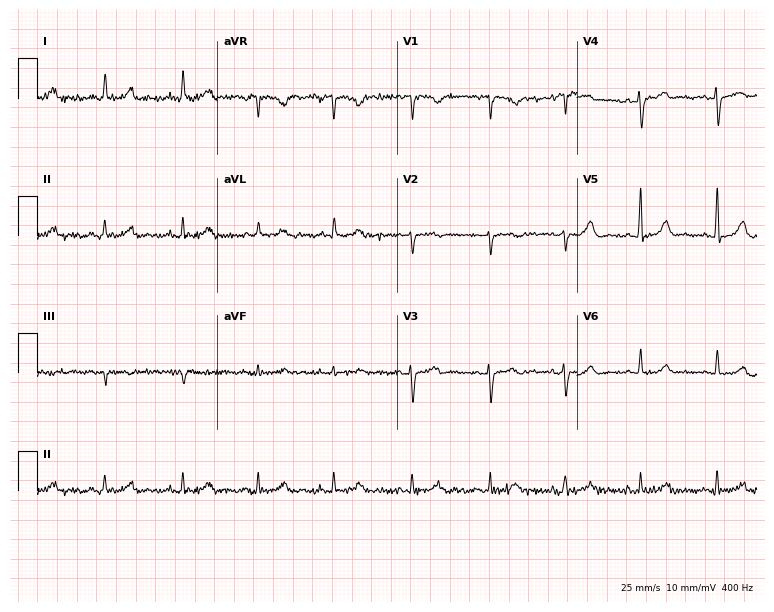
Electrocardiogram (7.3-second recording at 400 Hz), a female patient, 76 years old. Overall reading on record: normal ECG.